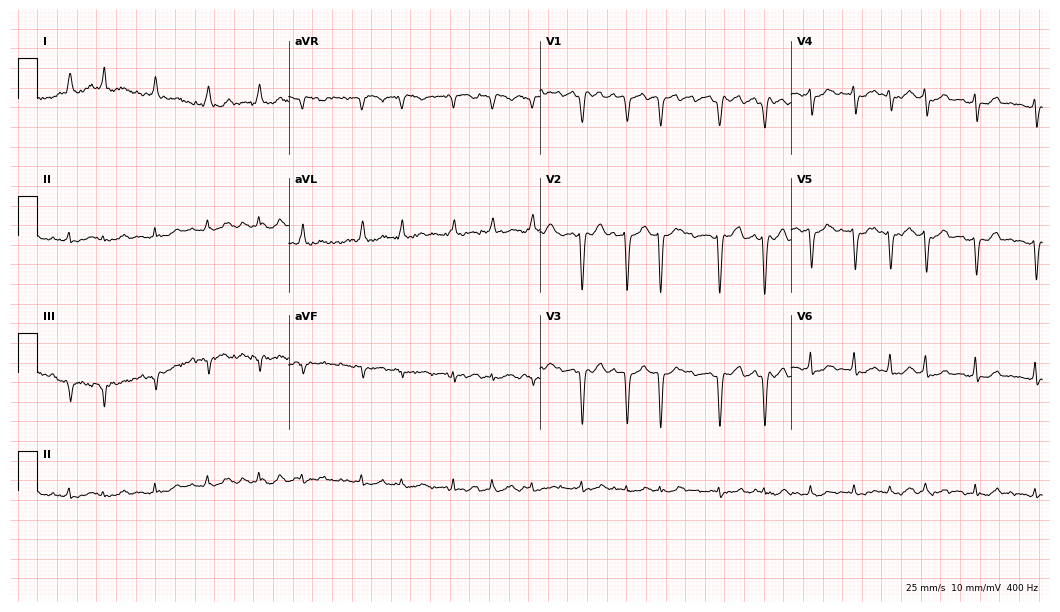
Electrocardiogram (10.2-second recording at 400 Hz), an 81-year-old female patient. Of the six screened findings (first-degree AV block, right bundle branch block, left bundle branch block, sinus bradycardia, atrial fibrillation, sinus tachycardia), none is recorded. Only these six findings were labelled.